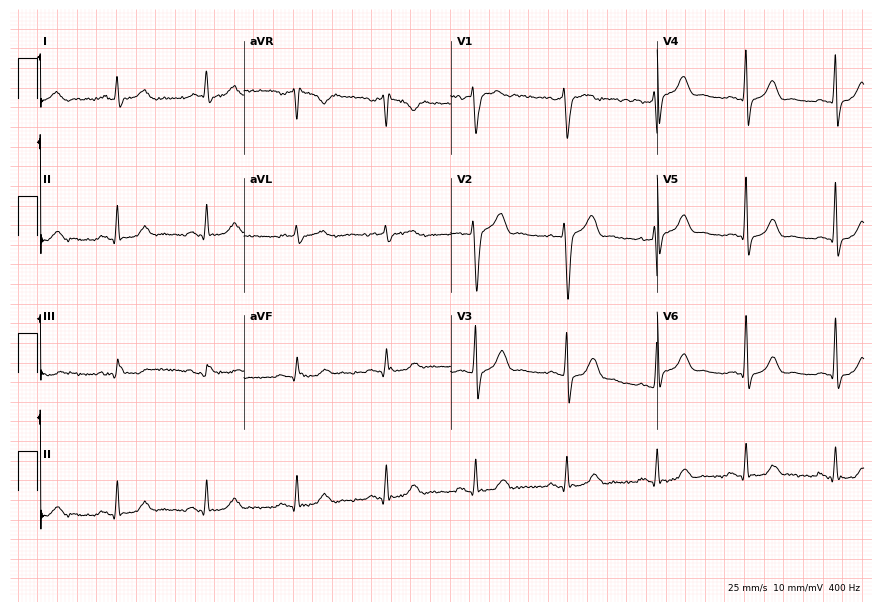
12-lead ECG from a 47-year-old male (8.4-second recording at 400 Hz). No first-degree AV block, right bundle branch block, left bundle branch block, sinus bradycardia, atrial fibrillation or sinus tachycardia recorded for this tracing.